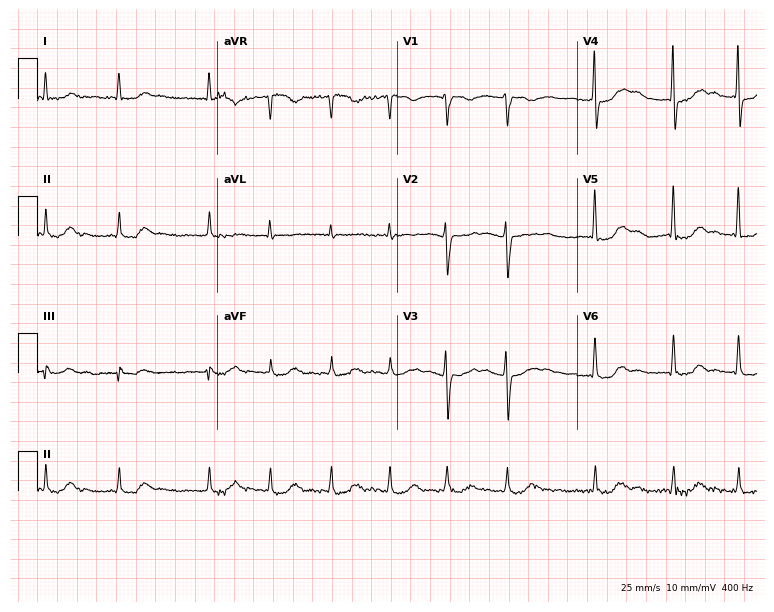
ECG (7.3-second recording at 400 Hz) — a female patient, 68 years old. Findings include atrial fibrillation (AF).